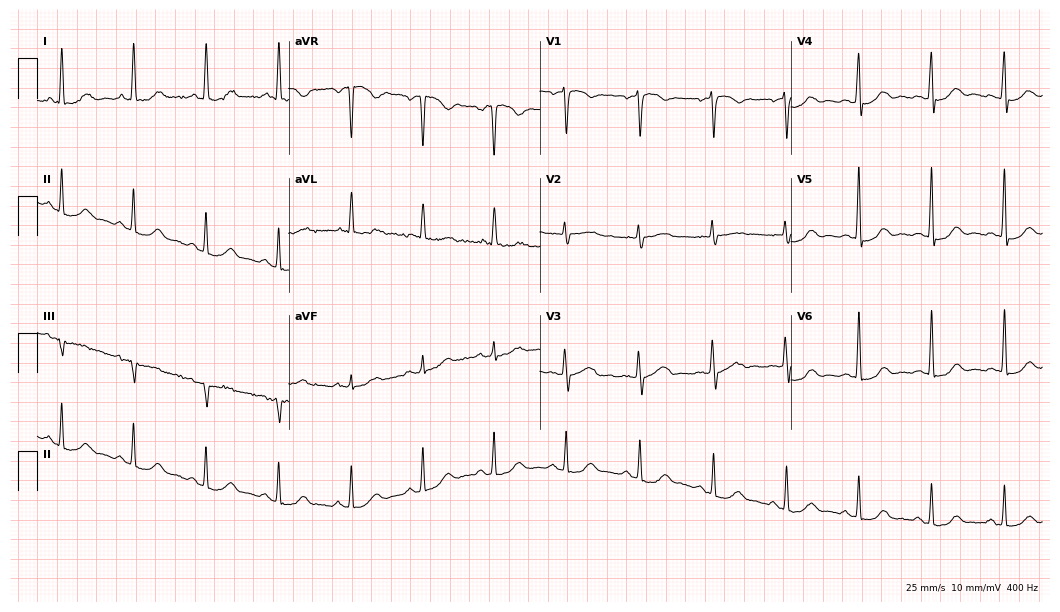
Standard 12-lead ECG recorded from a female, 69 years old (10.2-second recording at 400 Hz). None of these six findings is recorded: first-degree AV block, right bundle branch block, left bundle branch block, sinus bradycardia, atrial fibrillation, sinus tachycardia. Only these six findings were labelled.